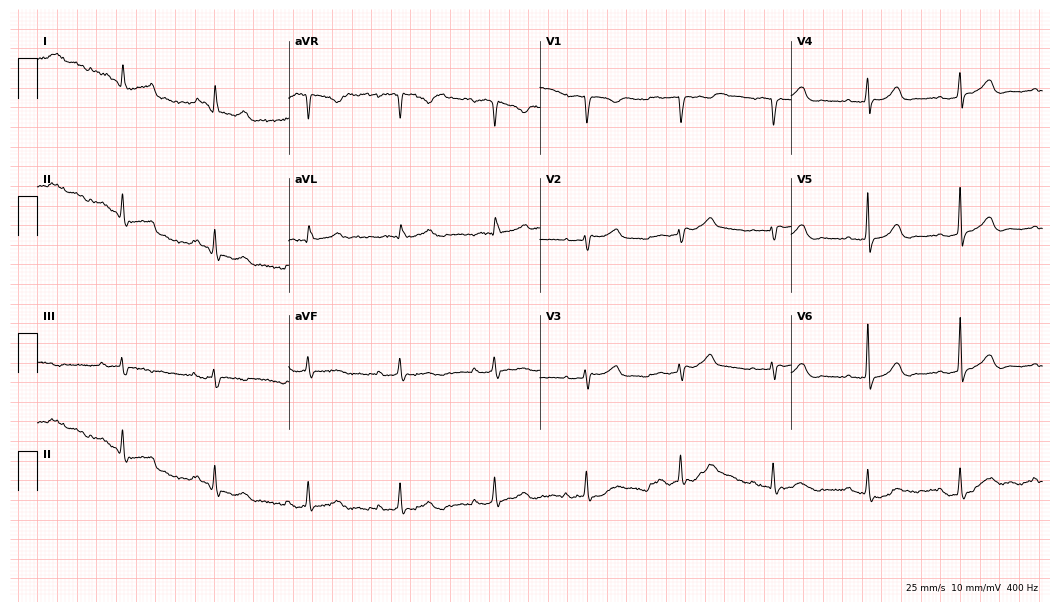
Electrocardiogram (10.2-second recording at 400 Hz), an 80-year-old female patient. Overall reading on record: normal ECG.